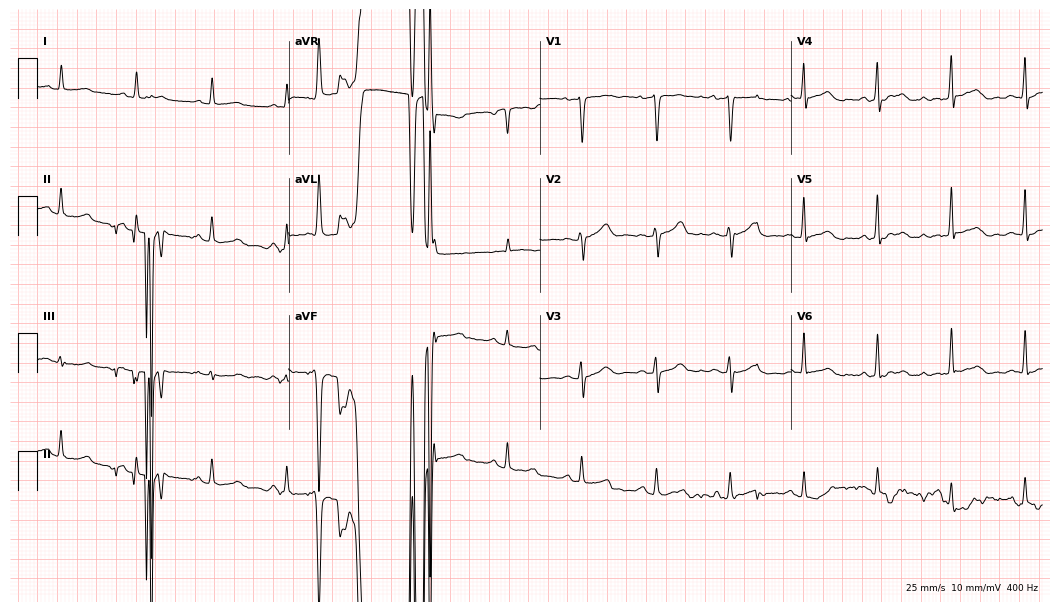
Resting 12-lead electrocardiogram (10.2-second recording at 400 Hz). Patient: a male, 64 years old. None of these six findings is recorded: first-degree AV block, right bundle branch block, left bundle branch block, sinus bradycardia, atrial fibrillation, sinus tachycardia. Findings outside these six are not listed.